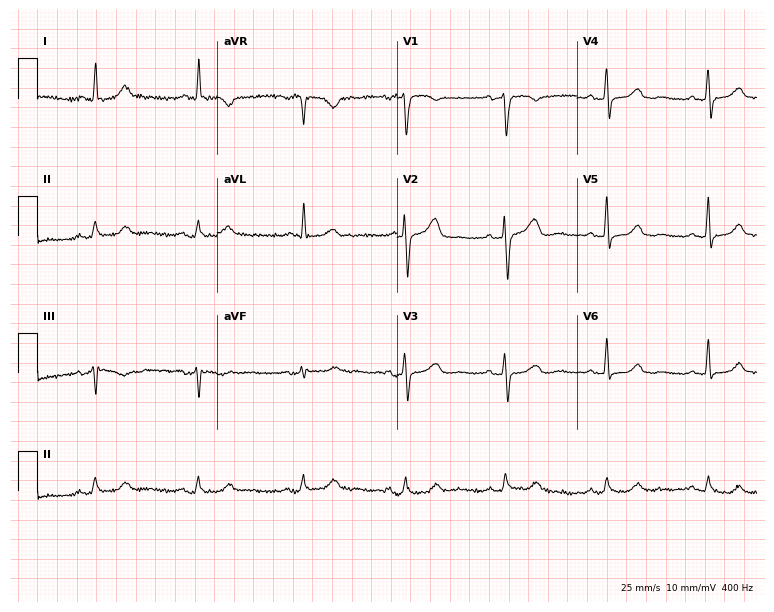
Standard 12-lead ECG recorded from a 65-year-old woman. Read as a normal ECG.